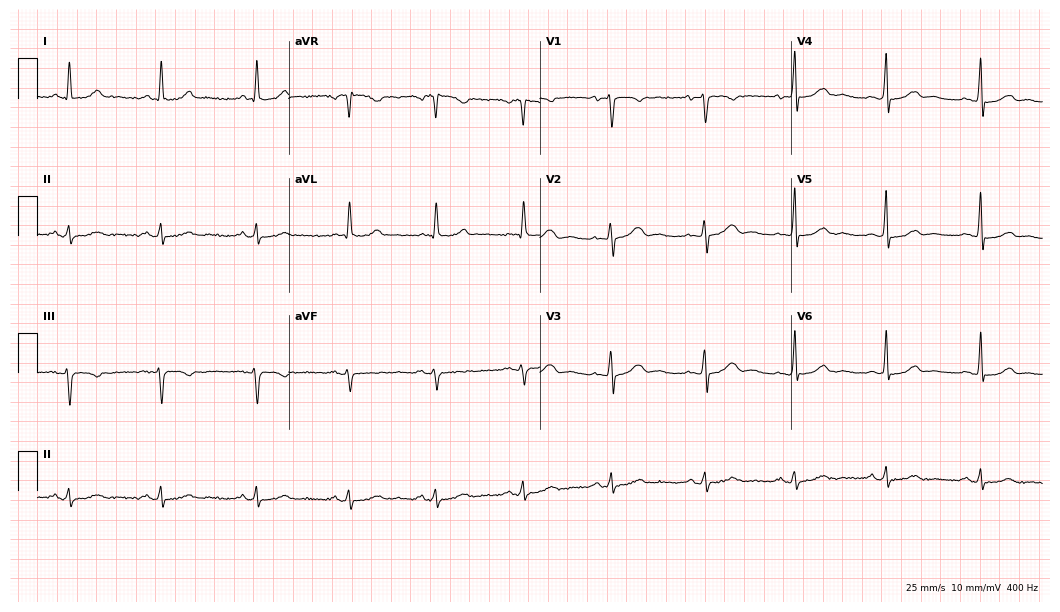
12-lead ECG from a woman, 47 years old. No first-degree AV block, right bundle branch block, left bundle branch block, sinus bradycardia, atrial fibrillation or sinus tachycardia recorded for this tracing. Findings outside these six are not listed.